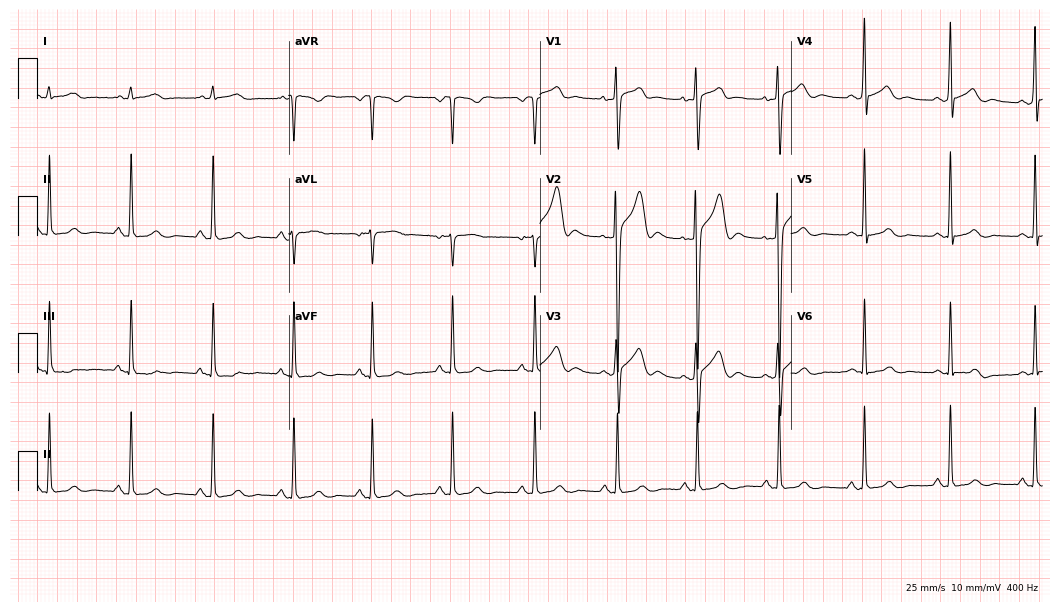
ECG — a 27-year-old man. Labelled as a normal ECG.